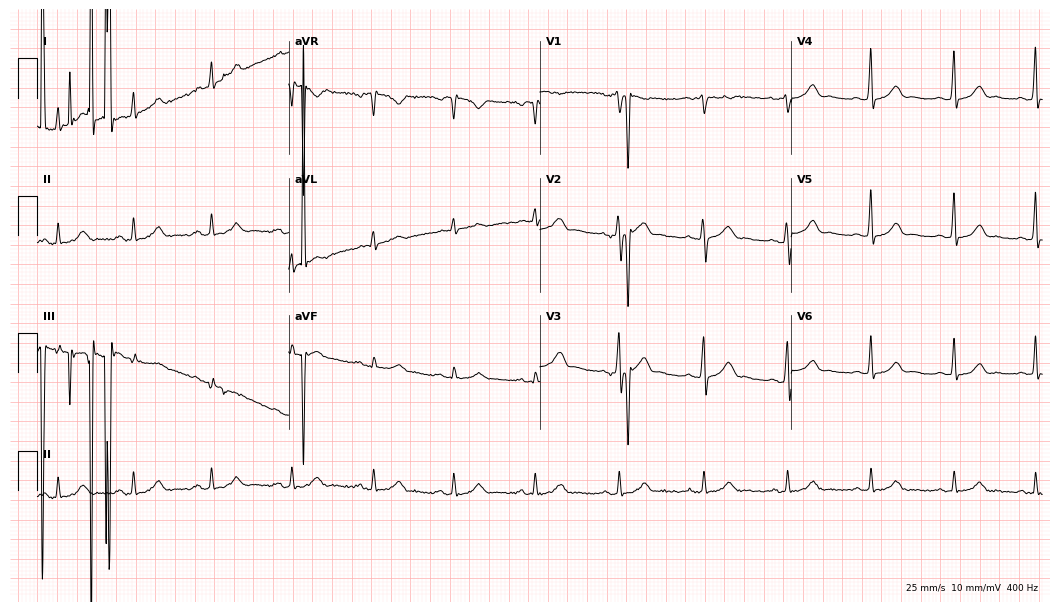
Resting 12-lead electrocardiogram. Patient: a woman, 34 years old. Read as a normal ECG.